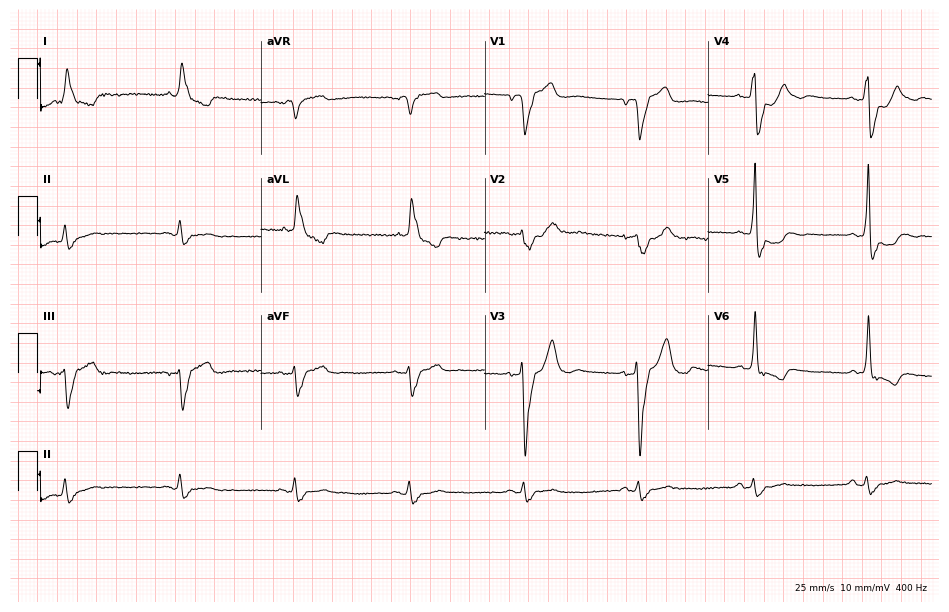
Resting 12-lead electrocardiogram (9.1-second recording at 400 Hz). Patient: a male, 71 years old. The tracing shows first-degree AV block, left bundle branch block.